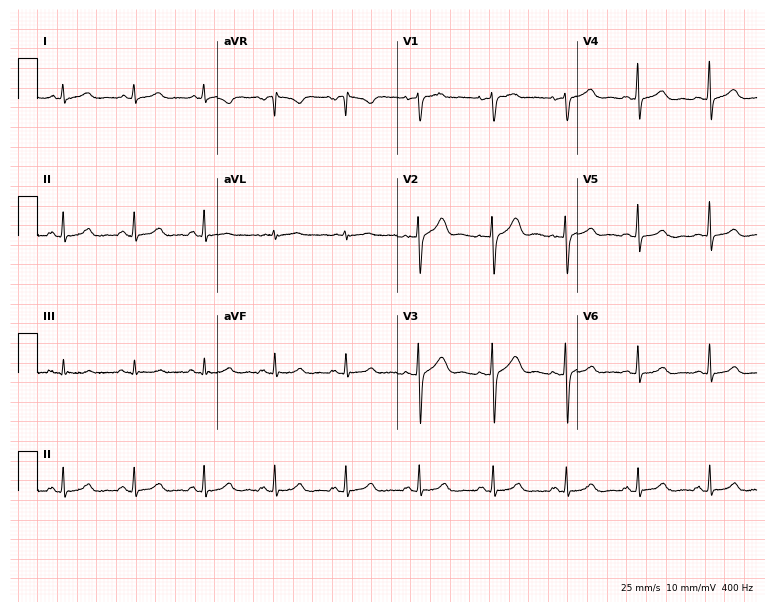
Resting 12-lead electrocardiogram (7.3-second recording at 400 Hz). Patient: a 36-year-old female. Read as a normal ECG.